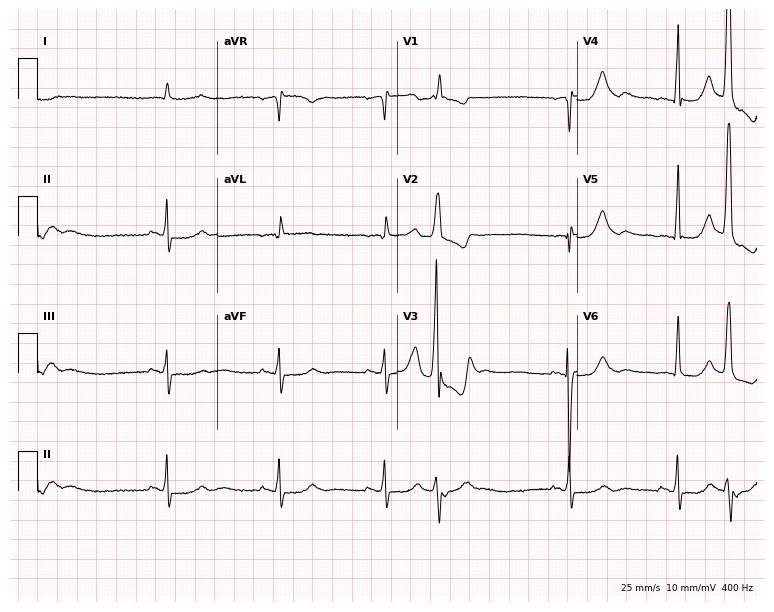
Electrocardiogram, an 83-year-old male. Overall reading on record: normal ECG.